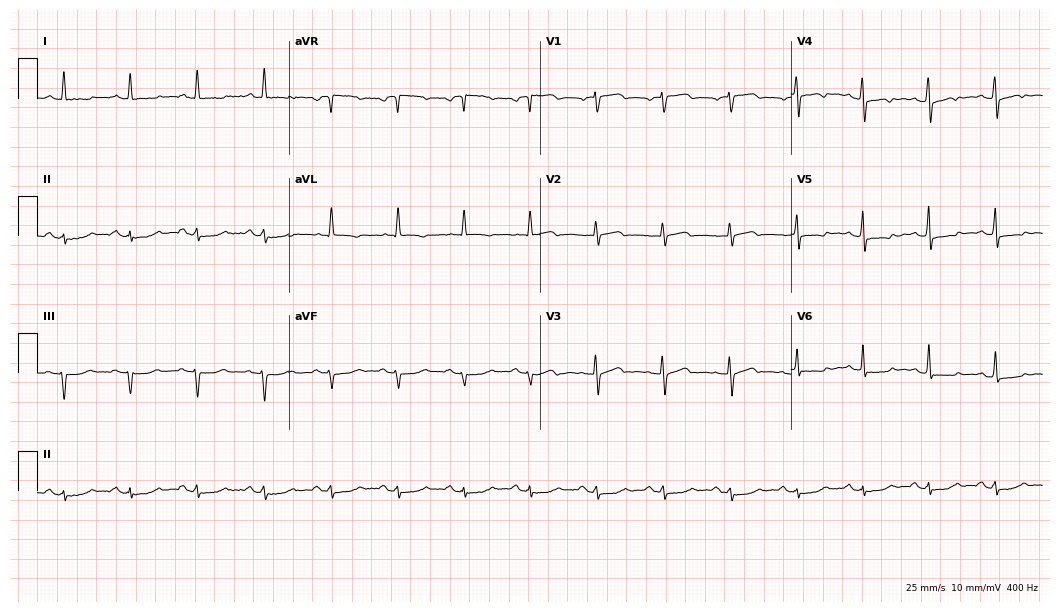
Resting 12-lead electrocardiogram (10.2-second recording at 400 Hz). Patient: a woman, 78 years old. None of these six findings is recorded: first-degree AV block, right bundle branch block, left bundle branch block, sinus bradycardia, atrial fibrillation, sinus tachycardia. Other findings, if any, are not listed.